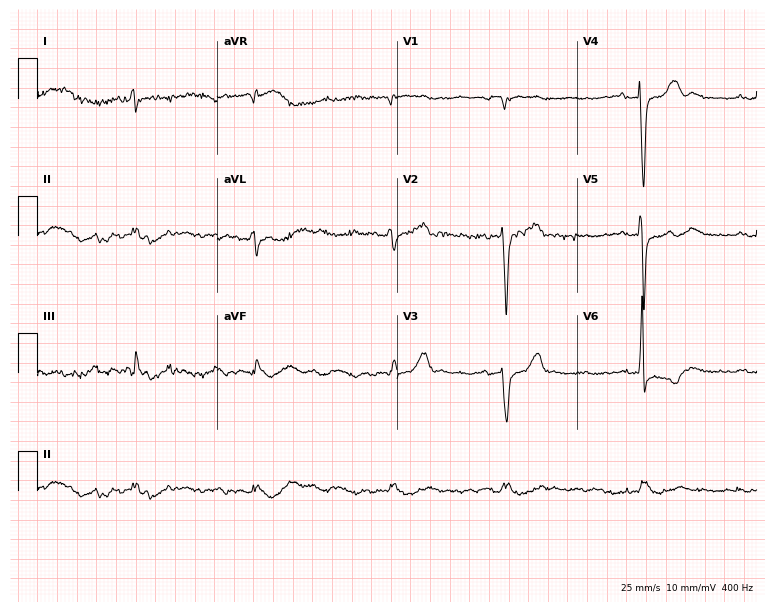
Resting 12-lead electrocardiogram (7.3-second recording at 400 Hz). Patient: a female, 87 years old. None of these six findings is recorded: first-degree AV block, right bundle branch block (RBBB), left bundle branch block (LBBB), sinus bradycardia, atrial fibrillation (AF), sinus tachycardia.